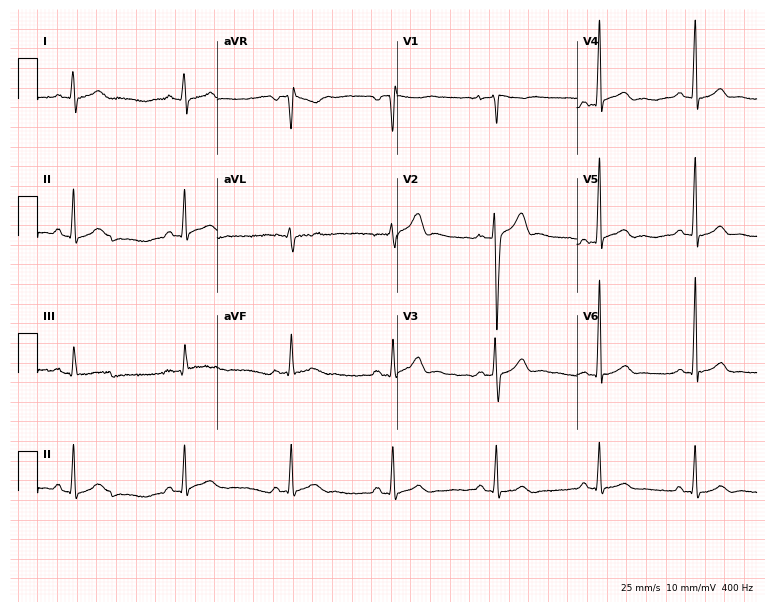
12-lead ECG from a 34-year-old male. Labelled as a normal ECG.